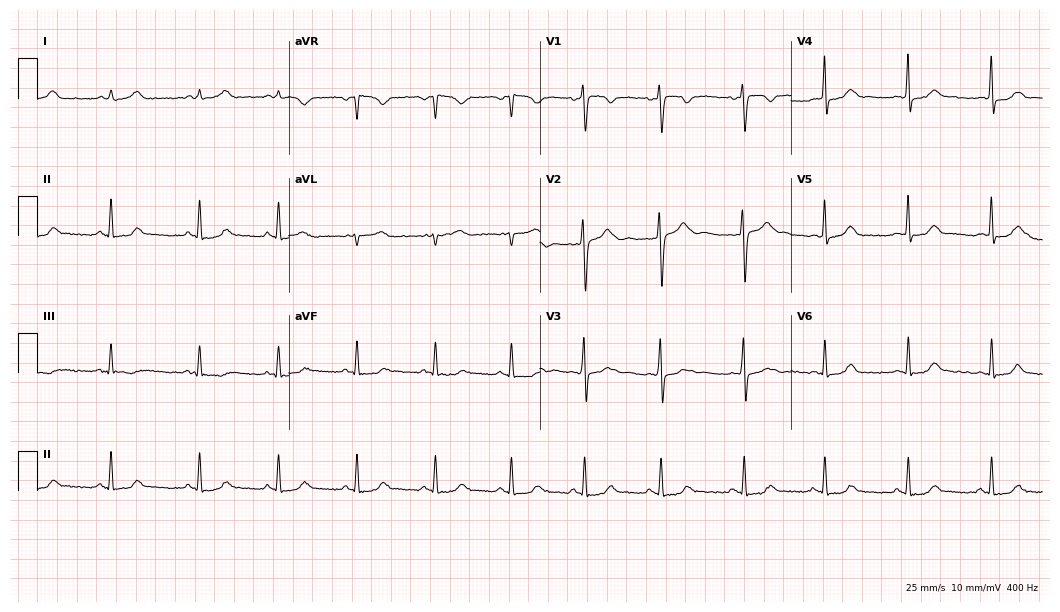
ECG — a 30-year-old female patient. Labelled as a normal ECG.